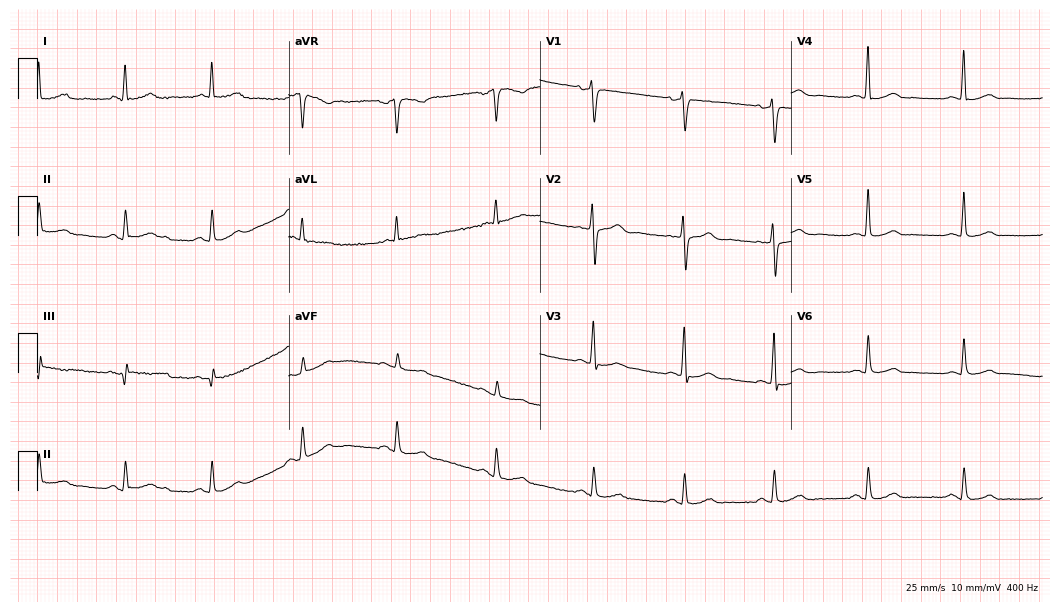
ECG — a man, 55 years old. Labelled as a normal ECG.